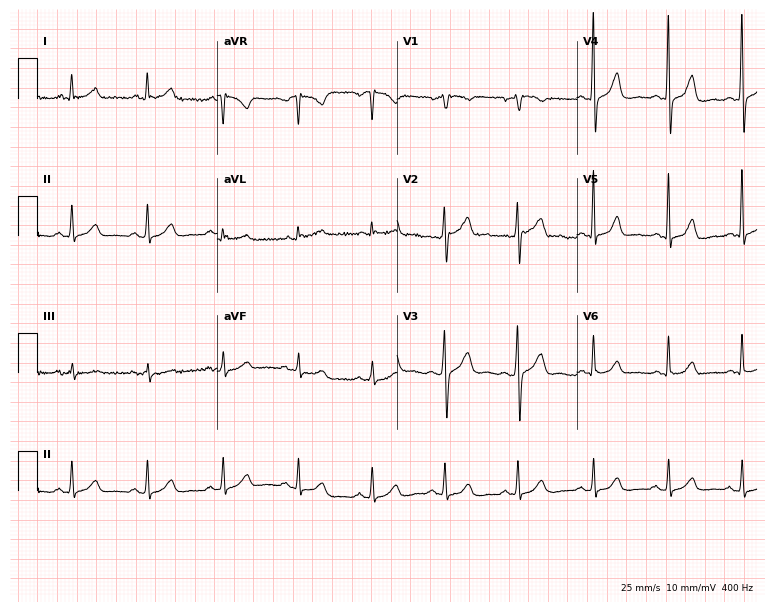
Standard 12-lead ECG recorded from a male, 65 years old. Read as a normal ECG.